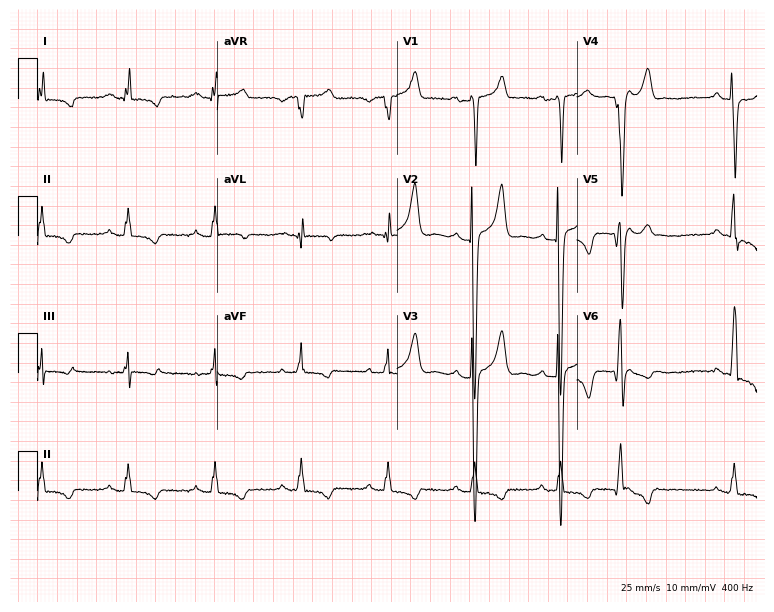
12-lead ECG from a 73-year-old male. No first-degree AV block, right bundle branch block, left bundle branch block, sinus bradycardia, atrial fibrillation or sinus tachycardia recorded for this tracing. Other findings, if any, are not listed.